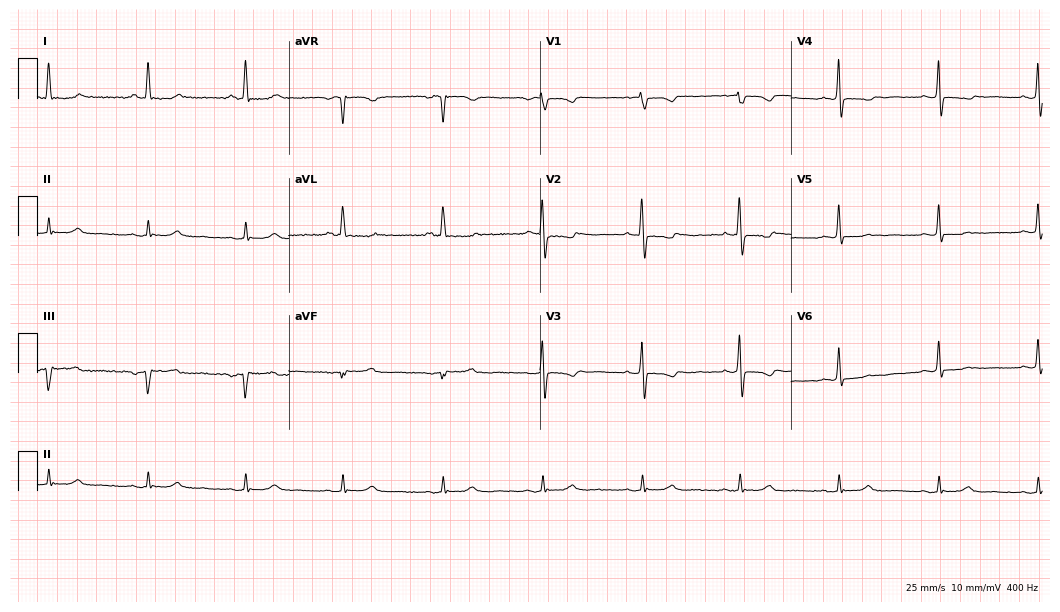
Resting 12-lead electrocardiogram. Patient: a 73-year-old female. None of these six findings is recorded: first-degree AV block, right bundle branch block, left bundle branch block, sinus bradycardia, atrial fibrillation, sinus tachycardia. Only these six findings were labelled.